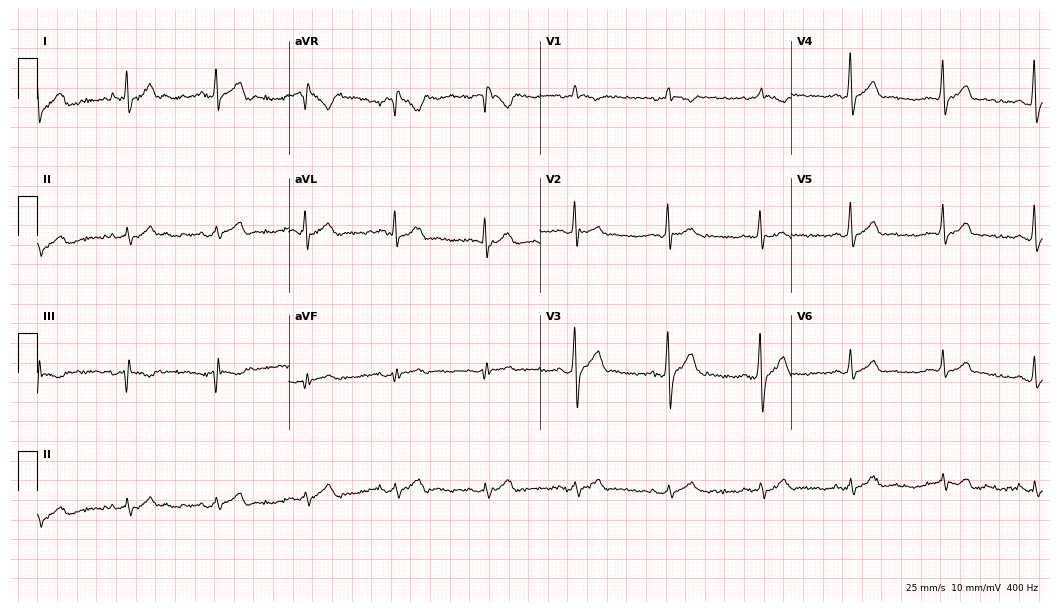
Standard 12-lead ECG recorded from a male patient, 39 years old. None of these six findings is recorded: first-degree AV block, right bundle branch block, left bundle branch block, sinus bradycardia, atrial fibrillation, sinus tachycardia.